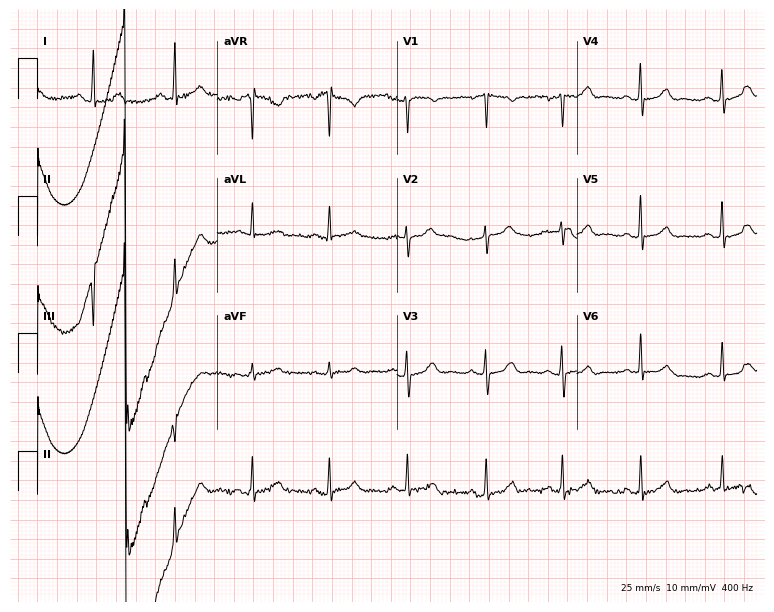
Standard 12-lead ECG recorded from a 46-year-old female patient (7.3-second recording at 400 Hz). The tracing shows atrial fibrillation.